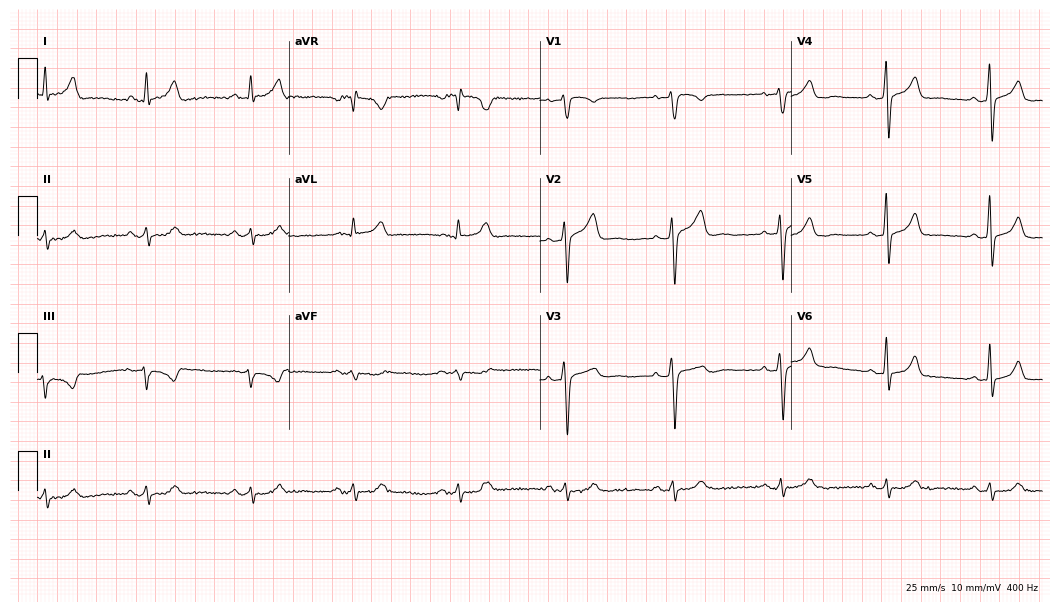
Resting 12-lead electrocardiogram. Patient: a man, 63 years old. Read as a normal ECG.